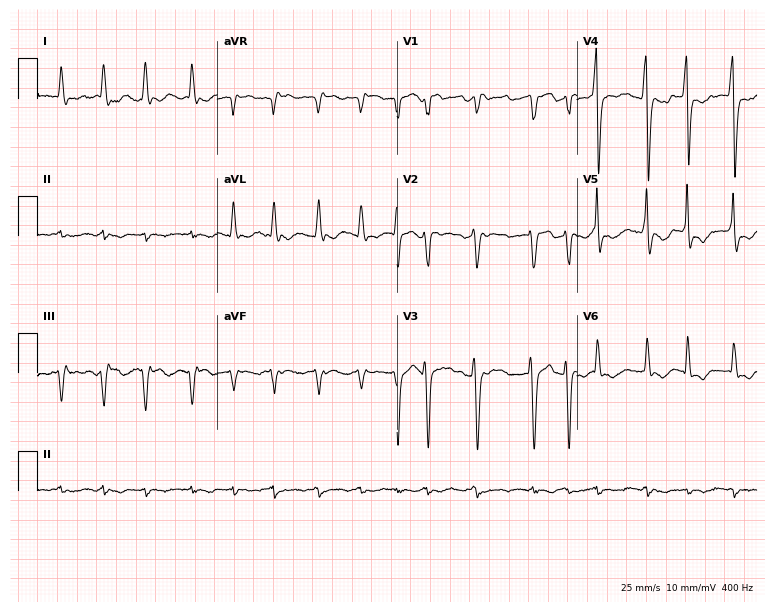
Resting 12-lead electrocardiogram (7.3-second recording at 400 Hz). Patient: an 81-year-old woman. The tracing shows atrial fibrillation.